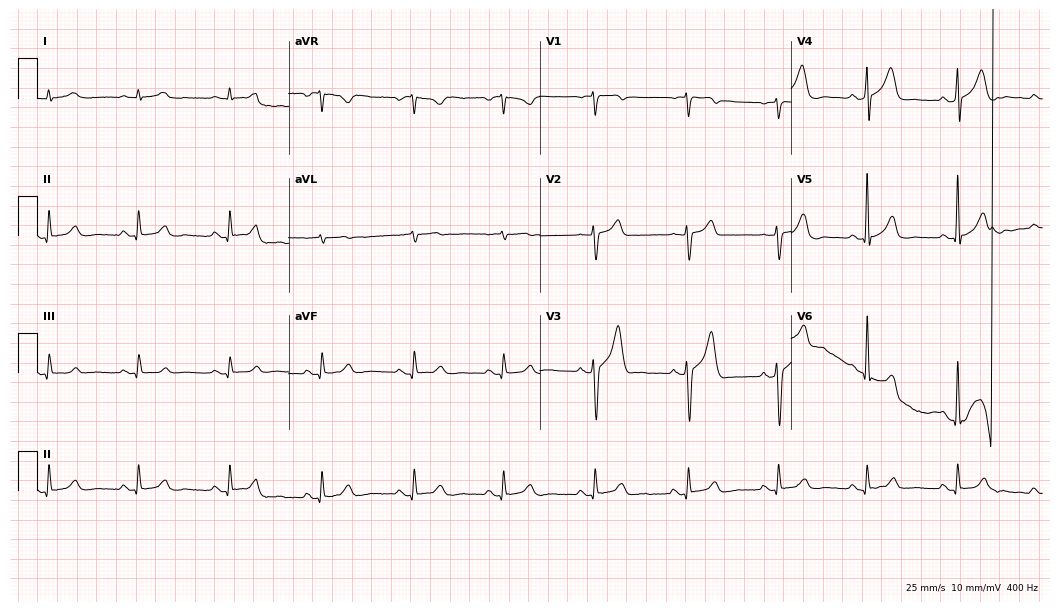
12-lead ECG from a man, 68 years old. Labelled as a normal ECG.